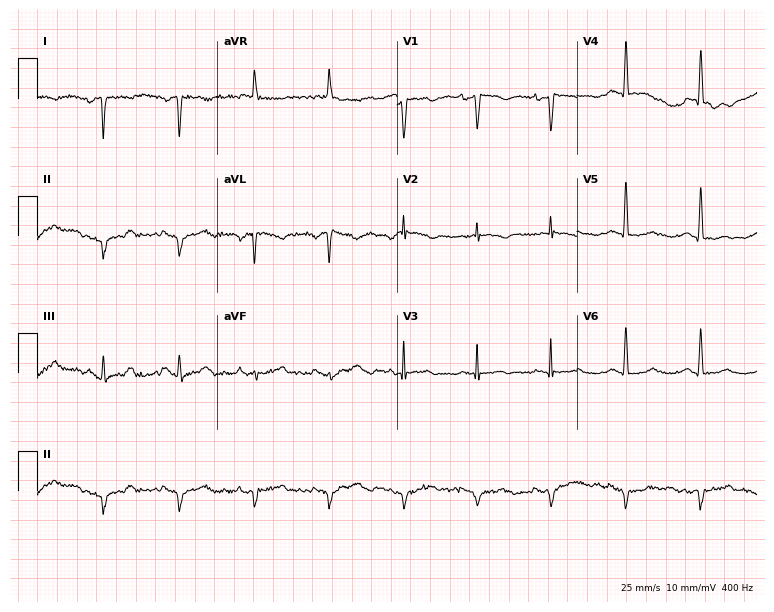
Standard 12-lead ECG recorded from a woman, 66 years old (7.3-second recording at 400 Hz). None of these six findings is recorded: first-degree AV block, right bundle branch block (RBBB), left bundle branch block (LBBB), sinus bradycardia, atrial fibrillation (AF), sinus tachycardia.